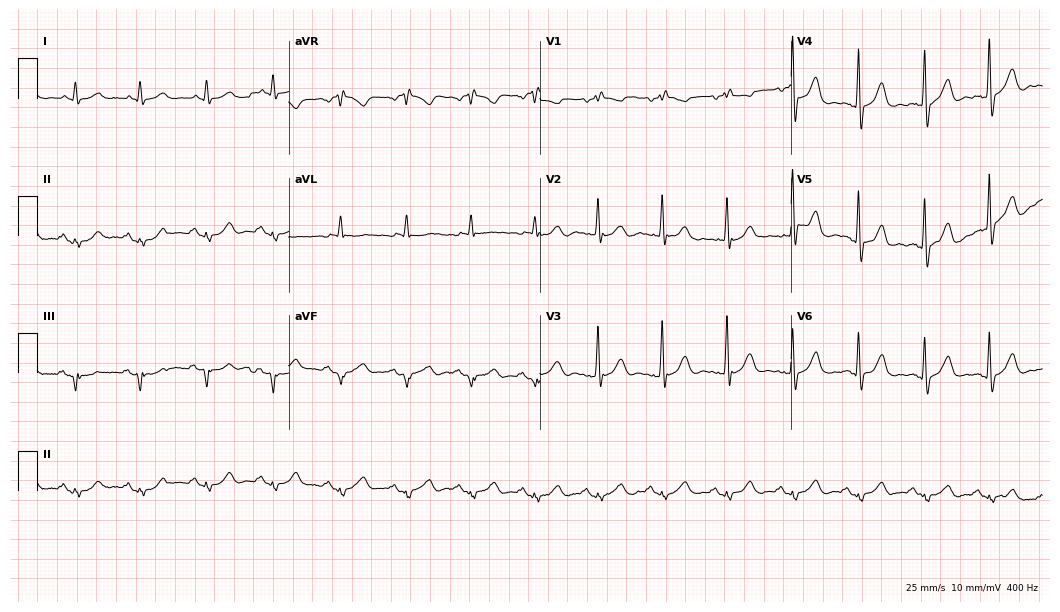
12-lead ECG from a woman, 72 years old (10.2-second recording at 400 Hz). Recorded interpretation: within normal limits.